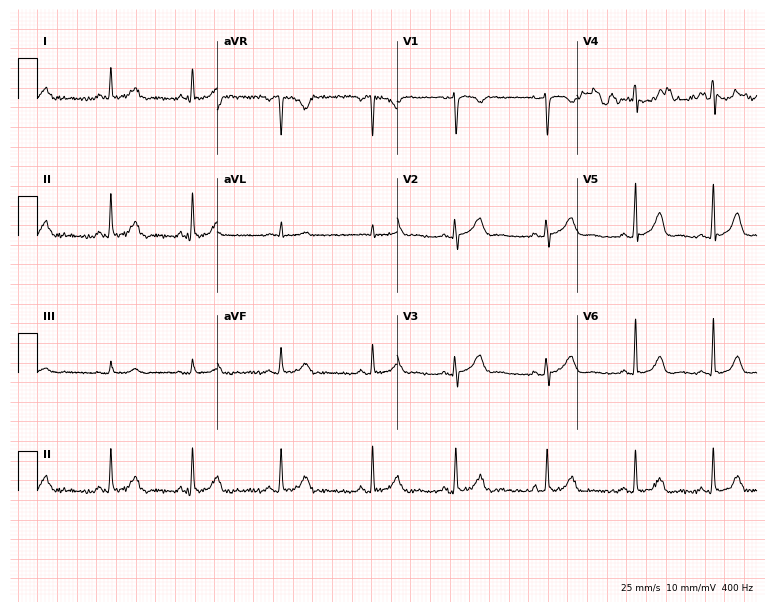
12-lead ECG from a female patient, 33 years old. Labelled as a normal ECG.